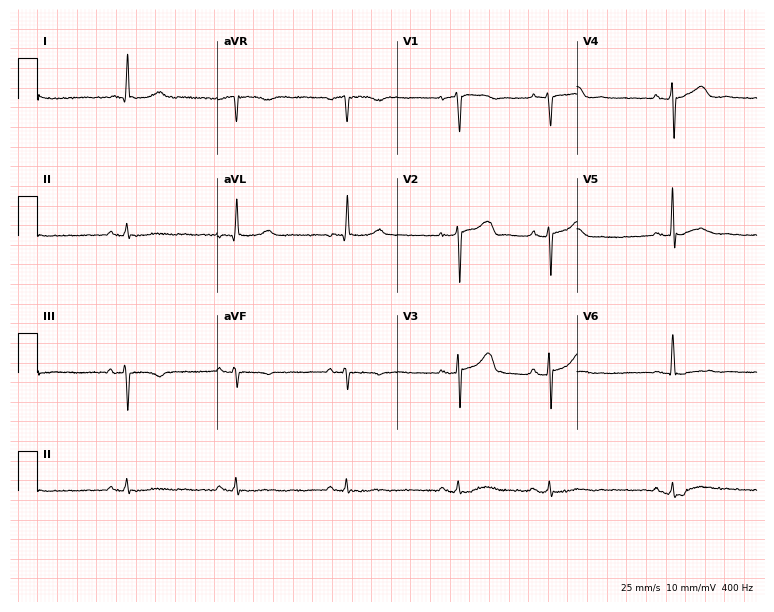
Standard 12-lead ECG recorded from a man, 82 years old (7.3-second recording at 400 Hz). None of these six findings is recorded: first-degree AV block, right bundle branch block, left bundle branch block, sinus bradycardia, atrial fibrillation, sinus tachycardia. Findings outside these six are not listed.